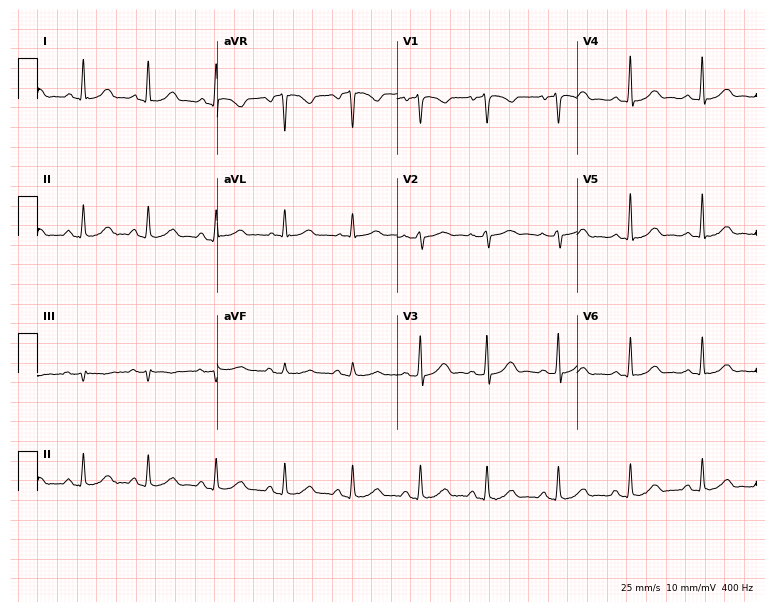
12-lead ECG from a 66-year-old female patient. No first-degree AV block, right bundle branch block (RBBB), left bundle branch block (LBBB), sinus bradycardia, atrial fibrillation (AF) or sinus tachycardia recorded for this tracing.